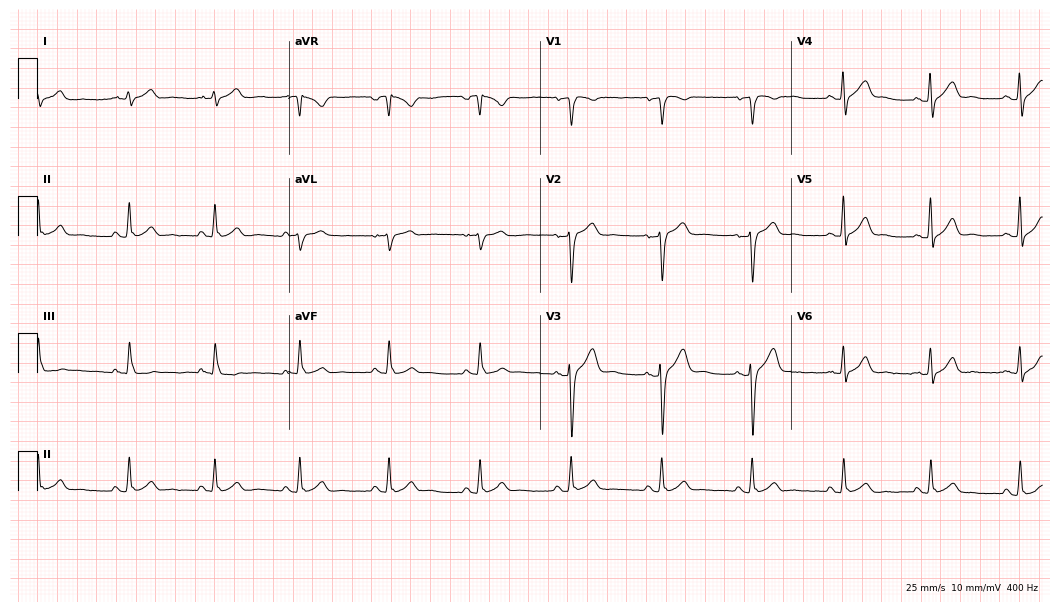
ECG (10.2-second recording at 400 Hz) — a 29-year-old male. Labelled as a normal ECG.